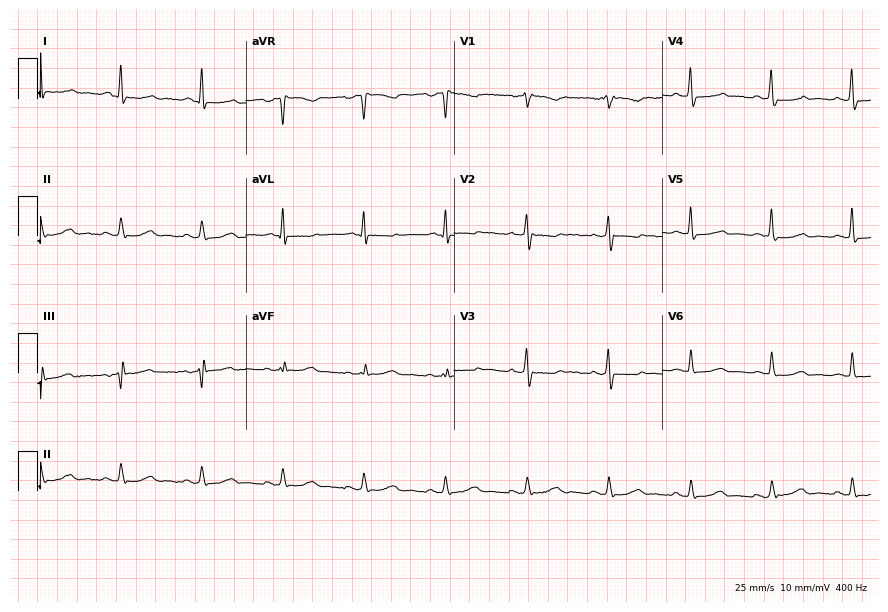
Electrocardiogram (8.5-second recording at 400 Hz), a 68-year-old female. Of the six screened findings (first-degree AV block, right bundle branch block (RBBB), left bundle branch block (LBBB), sinus bradycardia, atrial fibrillation (AF), sinus tachycardia), none is recorded.